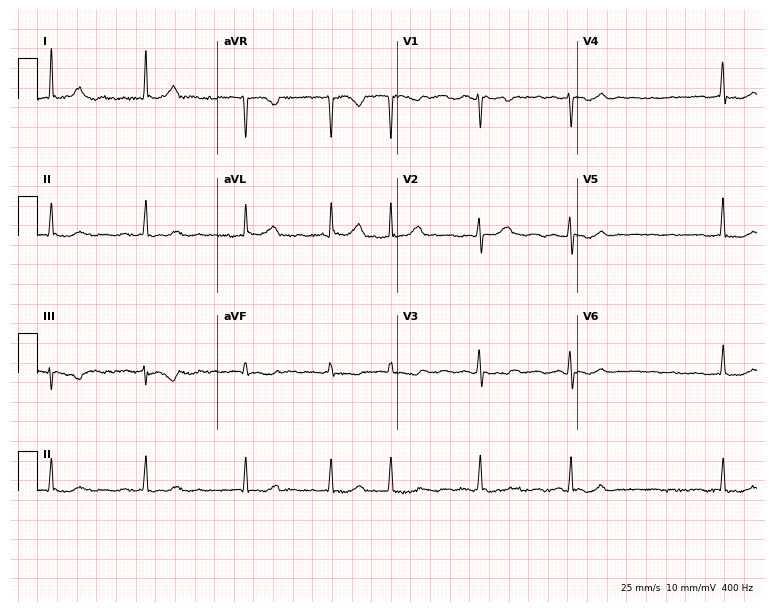
Standard 12-lead ECG recorded from a woman, 66 years old (7.3-second recording at 400 Hz). The tracing shows atrial fibrillation (AF).